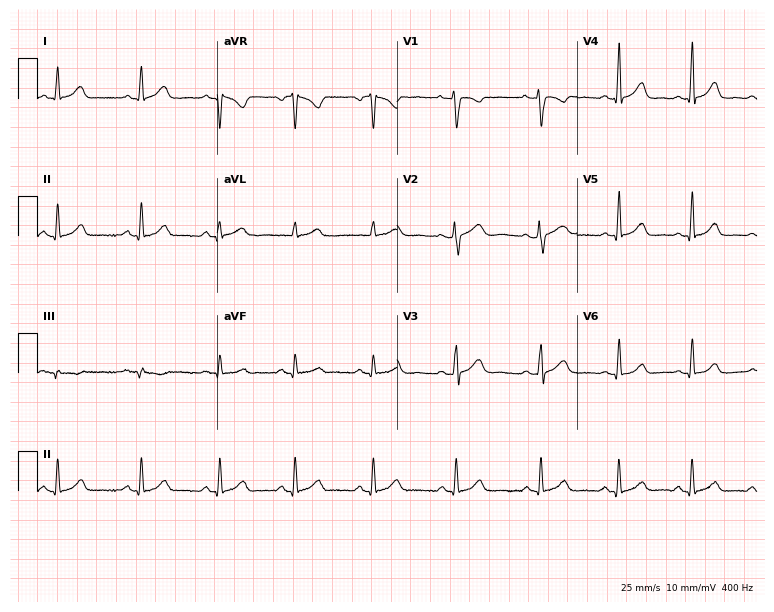
Electrocardiogram (7.3-second recording at 400 Hz), a woman, 19 years old. Of the six screened findings (first-degree AV block, right bundle branch block, left bundle branch block, sinus bradycardia, atrial fibrillation, sinus tachycardia), none is recorded.